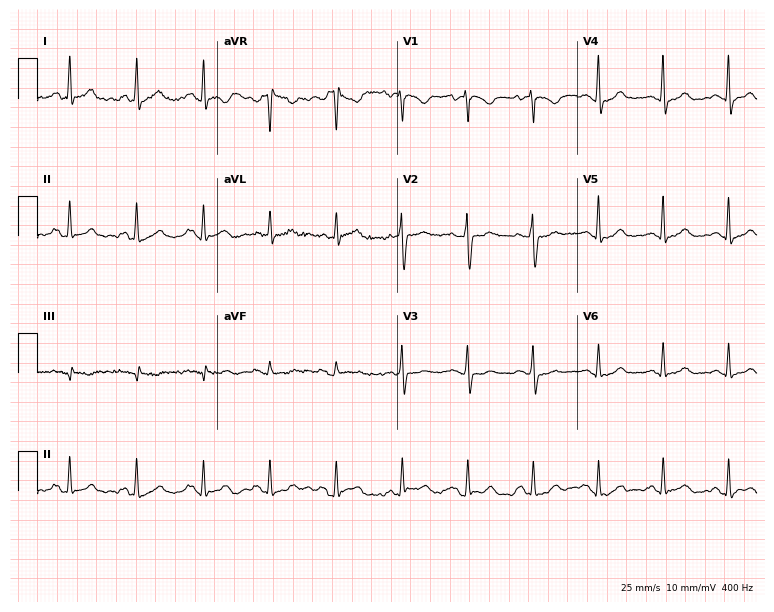
Resting 12-lead electrocardiogram. Patient: a 69-year-old female. Read as a normal ECG.